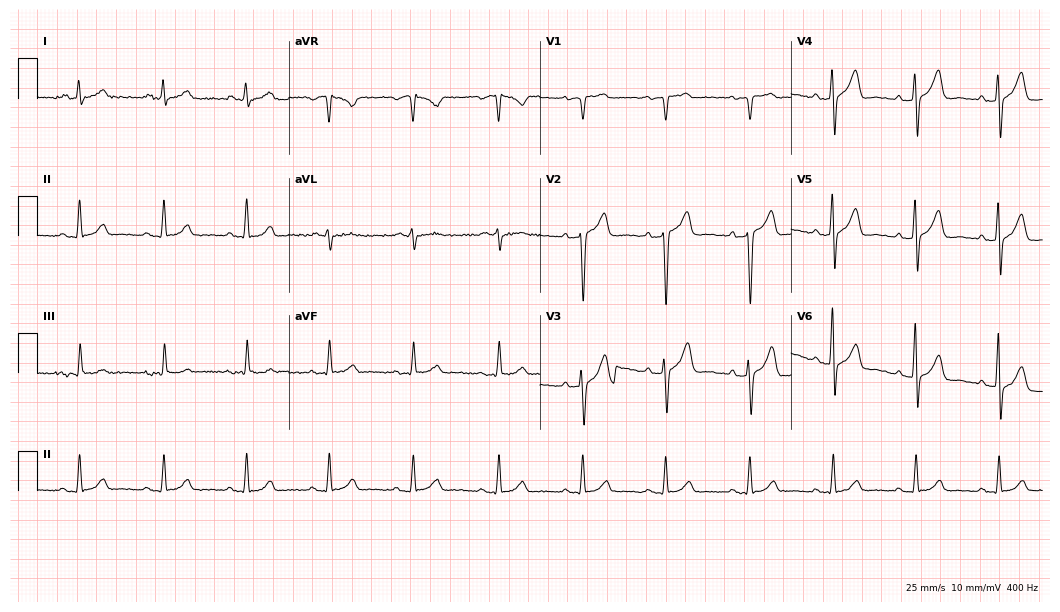
Resting 12-lead electrocardiogram (10.2-second recording at 400 Hz). Patient: a male, 55 years old. Read as a normal ECG.